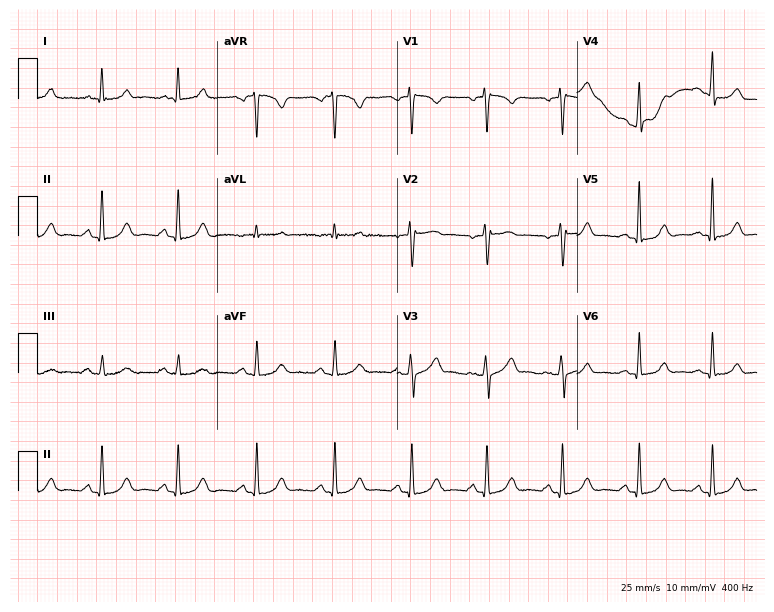
12-lead ECG from a female, 43 years old. Labelled as a normal ECG.